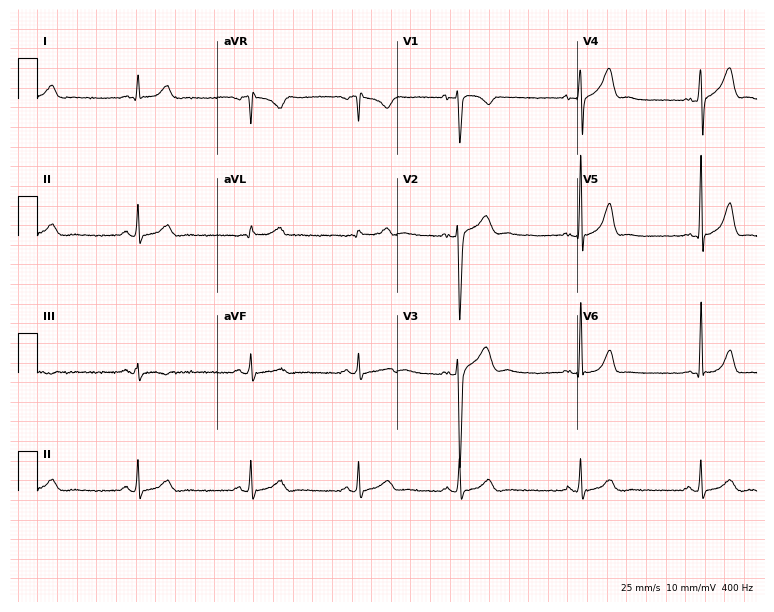
Standard 12-lead ECG recorded from a 23-year-old man (7.3-second recording at 400 Hz). Read as a normal ECG.